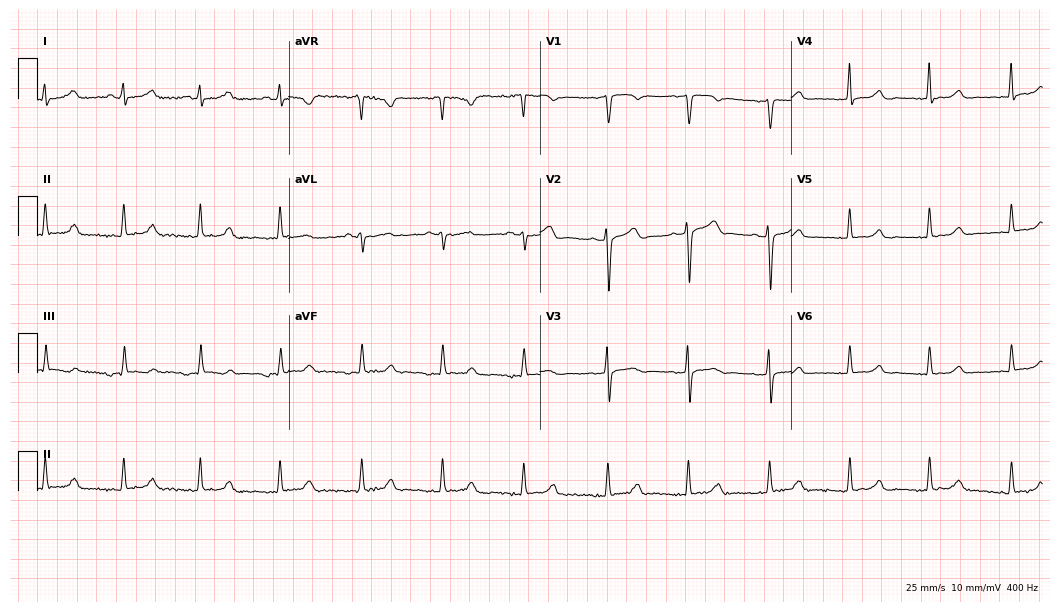
ECG (10.2-second recording at 400 Hz) — a female, 65 years old. Labelled as a normal ECG.